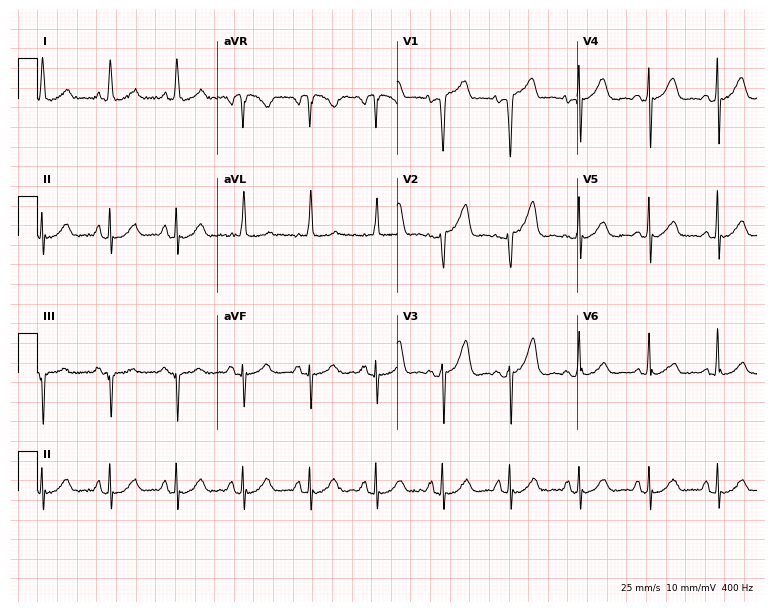
ECG — a 73-year-old man. Screened for six findings — first-degree AV block, right bundle branch block, left bundle branch block, sinus bradycardia, atrial fibrillation, sinus tachycardia — none is recorded.